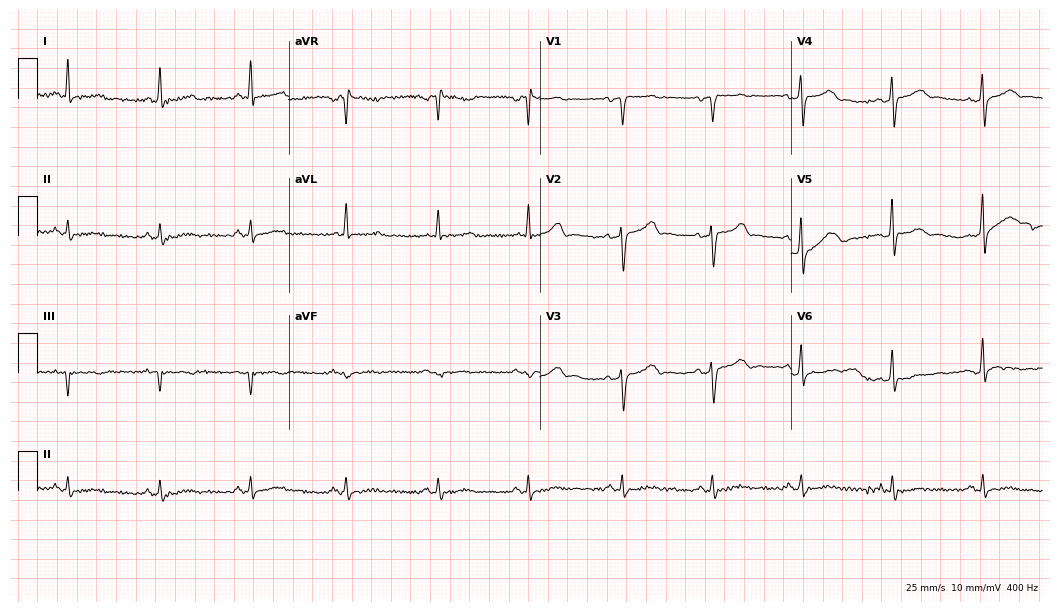
12-lead ECG (10.2-second recording at 400 Hz) from a 45-year-old male patient. Labelled as a normal ECG.